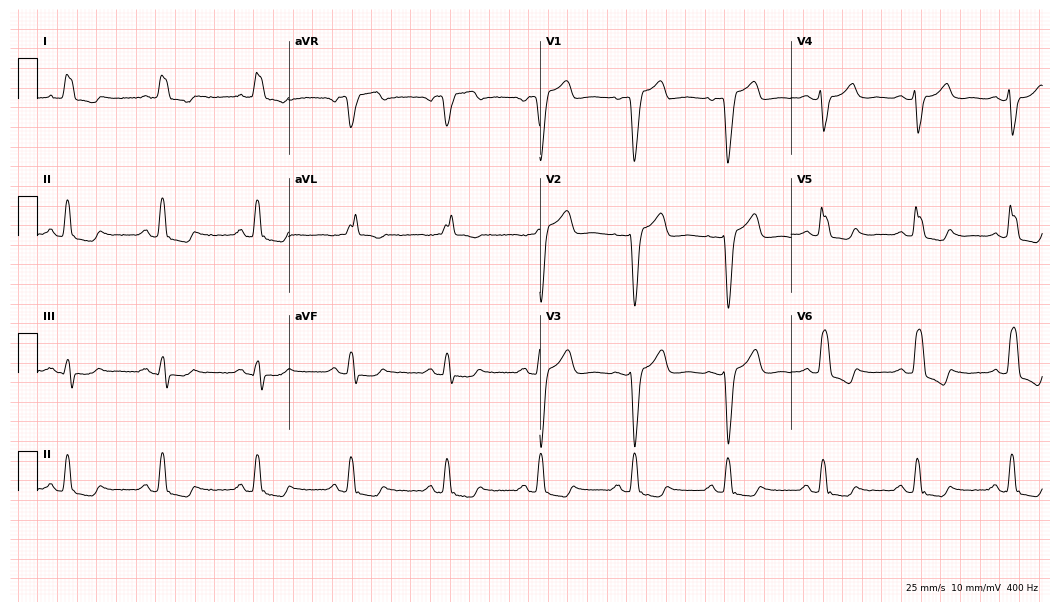
ECG — a female, 73 years old. Findings include left bundle branch block.